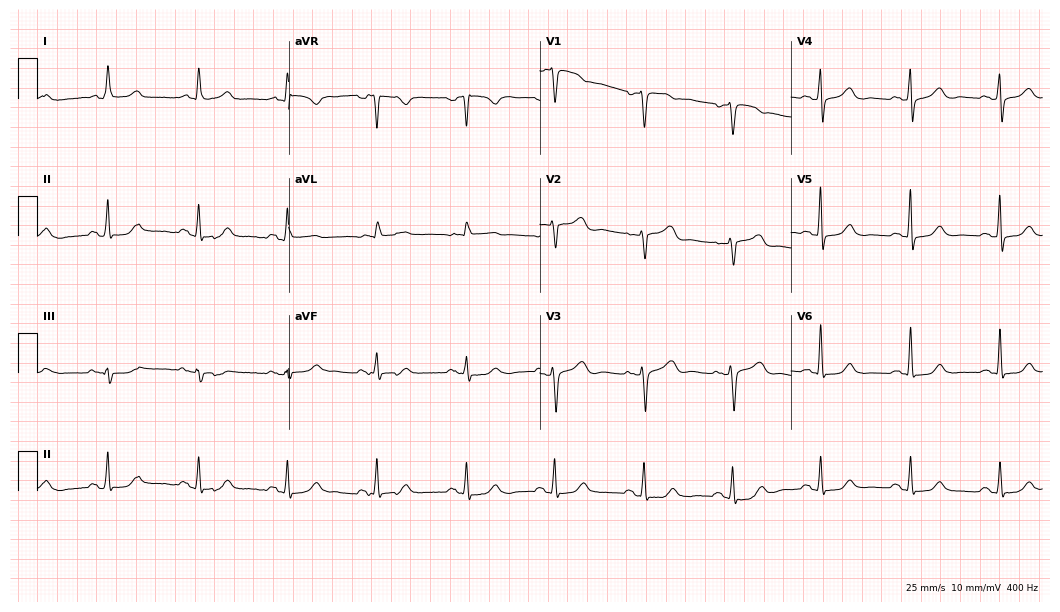
ECG — a 71-year-old female patient. Labelled as a normal ECG.